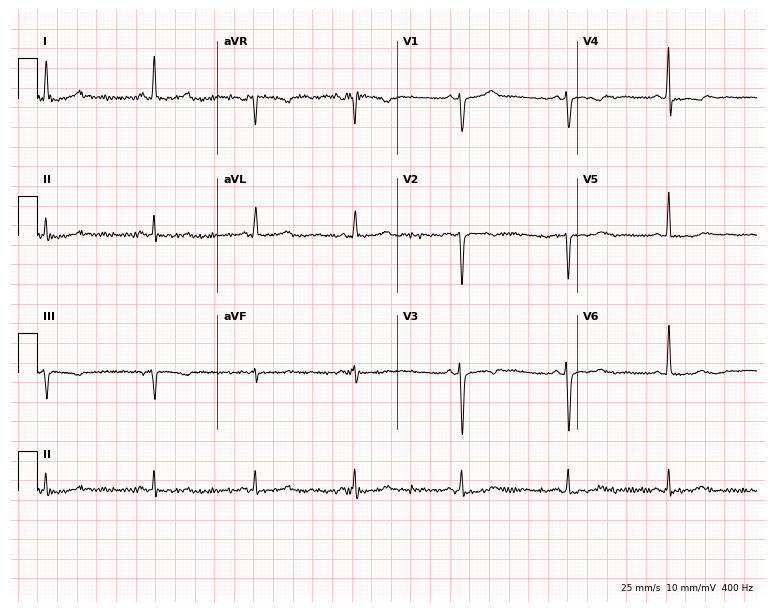
12-lead ECG from a 52-year-old female (7.3-second recording at 400 Hz). No first-degree AV block, right bundle branch block, left bundle branch block, sinus bradycardia, atrial fibrillation or sinus tachycardia recorded for this tracing. Other findings, if any, are not listed.